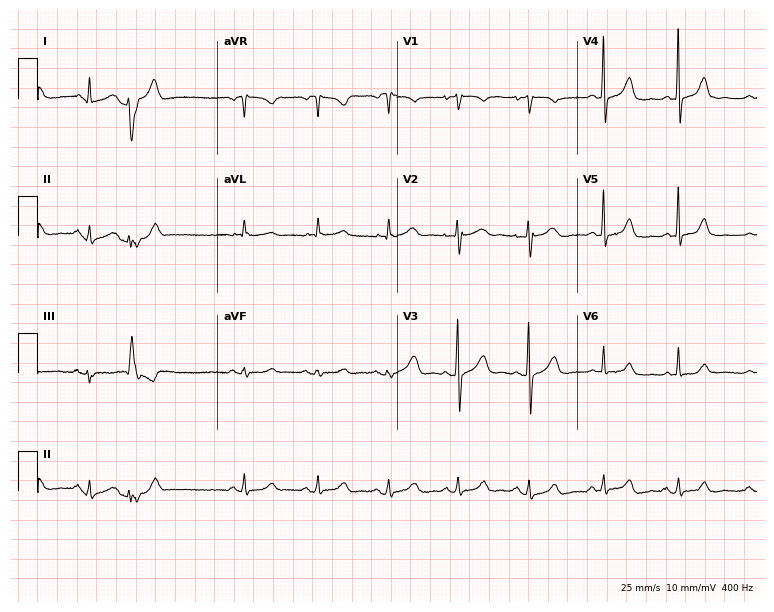
ECG (7.3-second recording at 400 Hz) — a female, 45 years old. Screened for six findings — first-degree AV block, right bundle branch block (RBBB), left bundle branch block (LBBB), sinus bradycardia, atrial fibrillation (AF), sinus tachycardia — none is recorded. Findings outside these six are not listed.